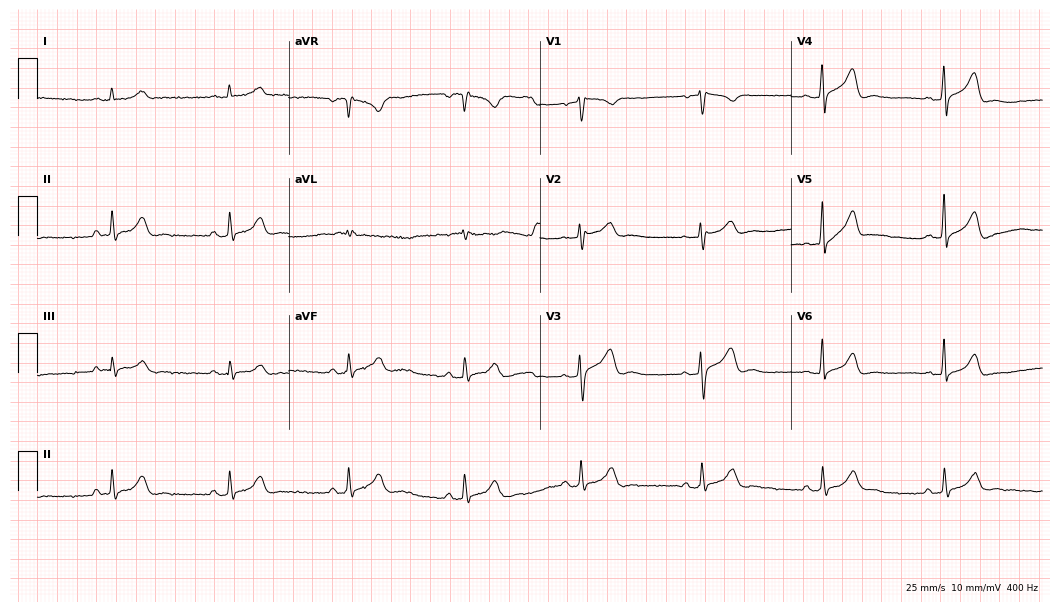
Electrocardiogram (10.2-second recording at 400 Hz), a 51-year-old male patient. Interpretation includes sinus bradycardia (a sinus rate of 50 beats per minute or less).